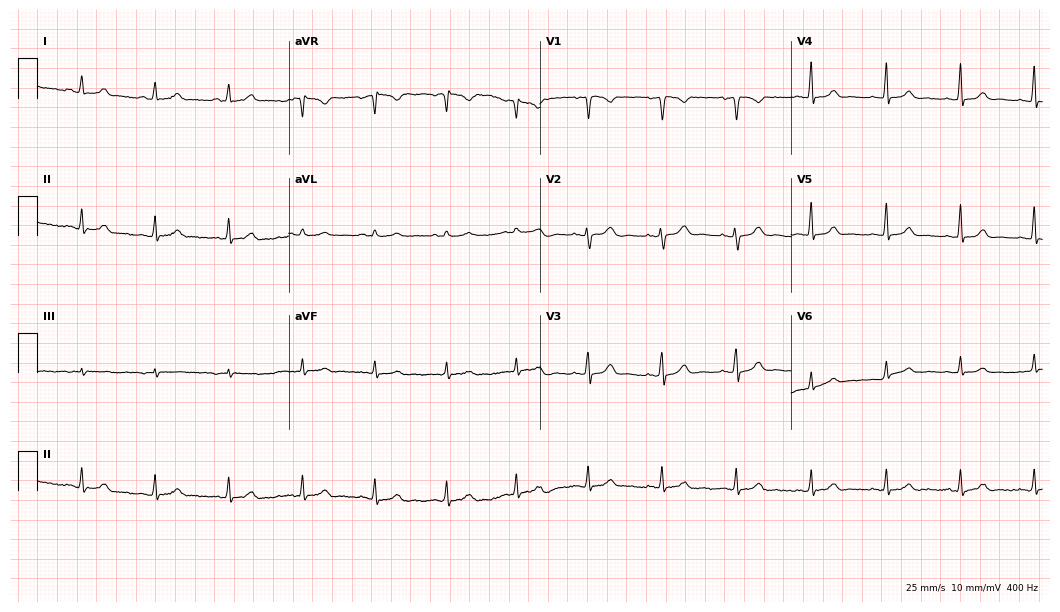
Electrocardiogram (10.2-second recording at 400 Hz), a female, 32 years old. Overall reading on record: normal ECG.